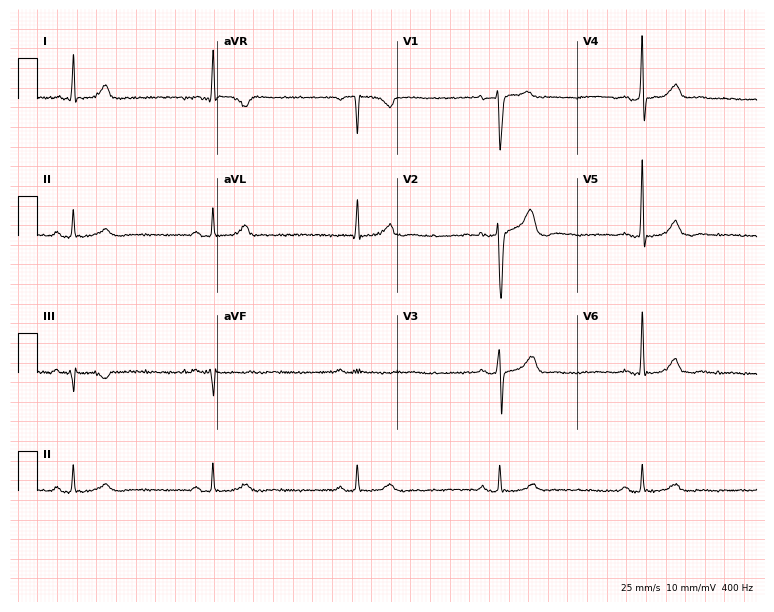
Electrocardiogram (7.3-second recording at 400 Hz), a 63-year-old man. Interpretation includes sinus bradycardia (a sinus rate of 50 beats per minute or less).